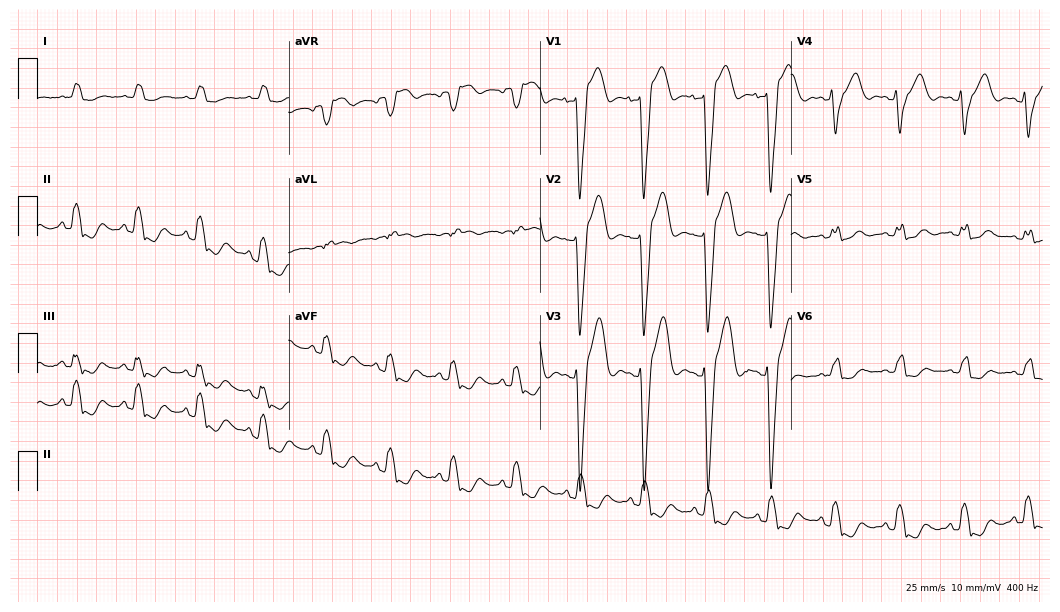
Electrocardiogram, a female, 63 years old. Of the six screened findings (first-degree AV block, right bundle branch block, left bundle branch block, sinus bradycardia, atrial fibrillation, sinus tachycardia), none is recorded. Only these six findings were labelled.